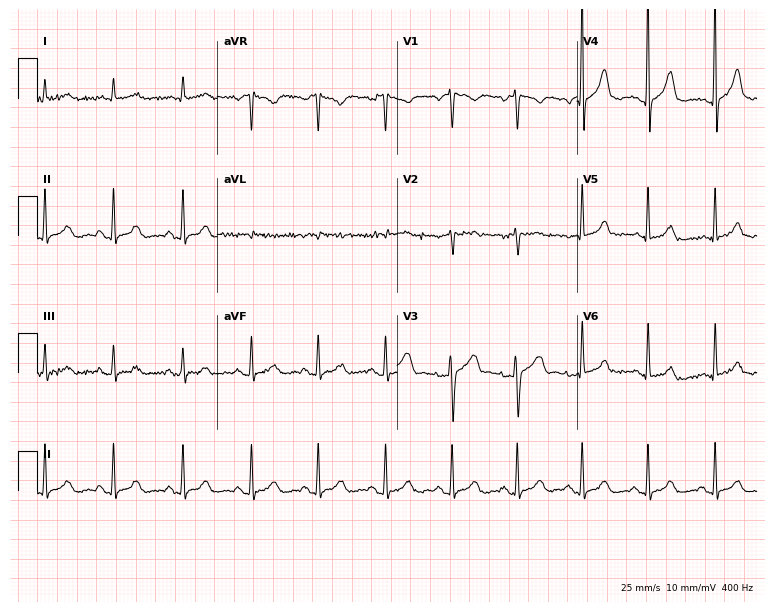
ECG (7.3-second recording at 400 Hz) — a 51-year-old man. Screened for six findings — first-degree AV block, right bundle branch block (RBBB), left bundle branch block (LBBB), sinus bradycardia, atrial fibrillation (AF), sinus tachycardia — none is recorded. Other findings, if any, are not listed.